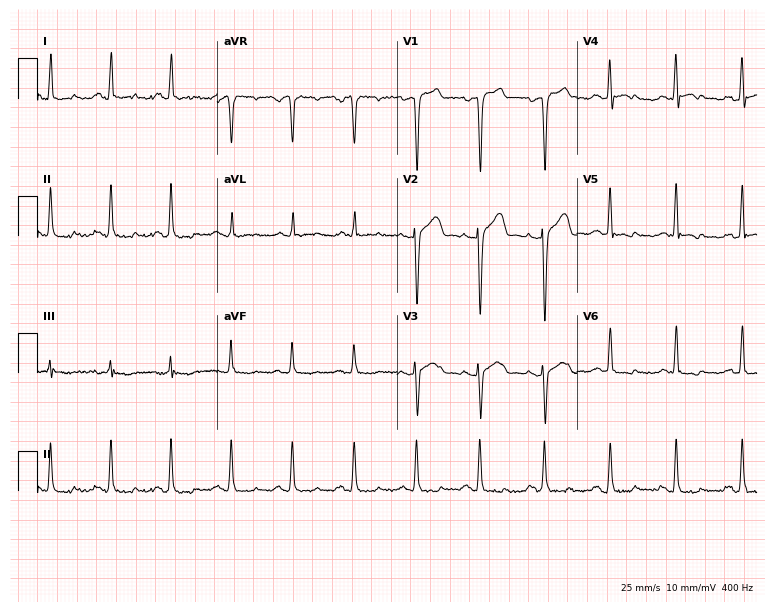
Standard 12-lead ECG recorded from a 58-year-old male (7.3-second recording at 400 Hz). None of these six findings is recorded: first-degree AV block, right bundle branch block, left bundle branch block, sinus bradycardia, atrial fibrillation, sinus tachycardia. Findings outside these six are not listed.